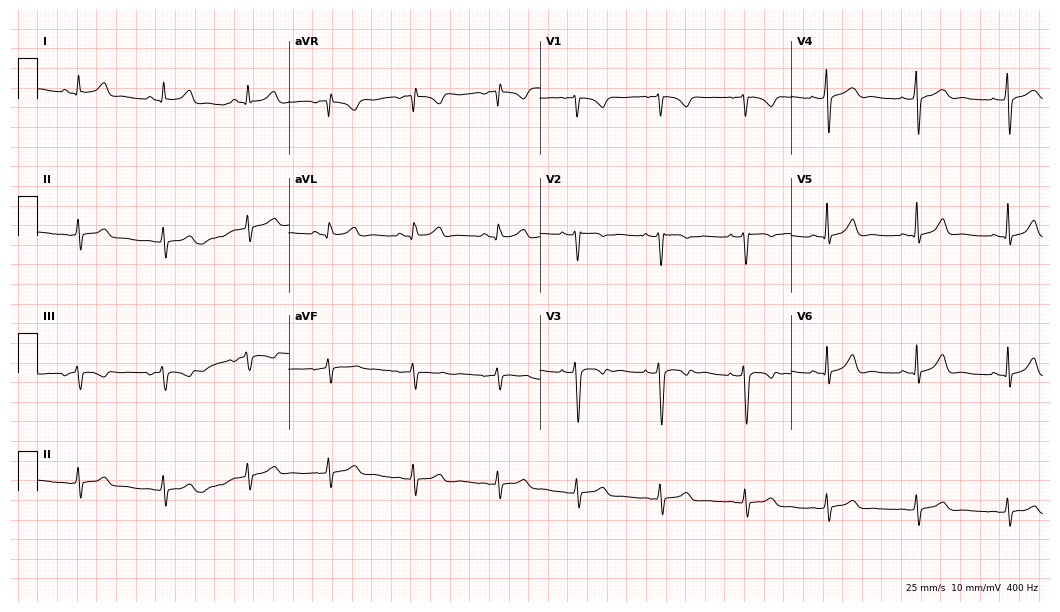
ECG — a female patient, 24 years old. Screened for six findings — first-degree AV block, right bundle branch block, left bundle branch block, sinus bradycardia, atrial fibrillation, sinus tachycardia — none is recorded.